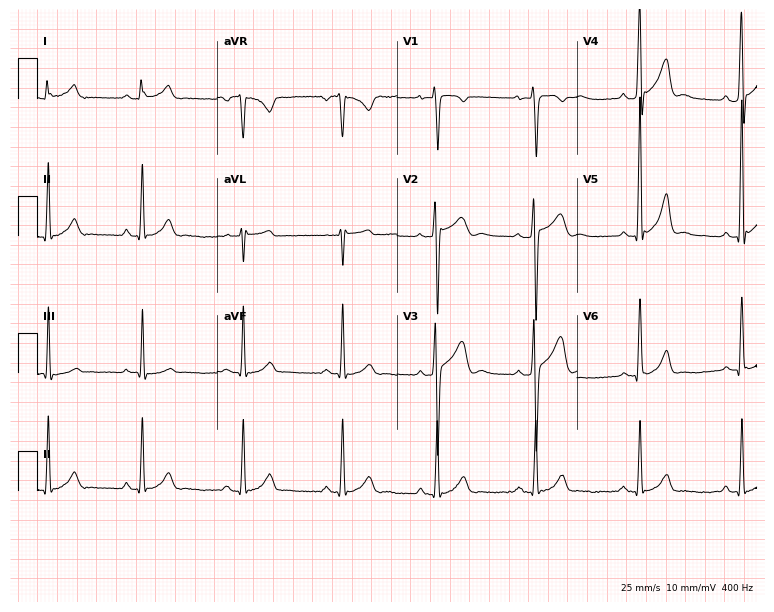
ECG (7.3-second recording at 400 Hz) — a 43-year-old male patient. Screened for six findings — first-degree AV block, right bundle branch block, left bundle branch block, sinus bradycardia, atrial fibrillation, sinus tachycardia — none is recorded.